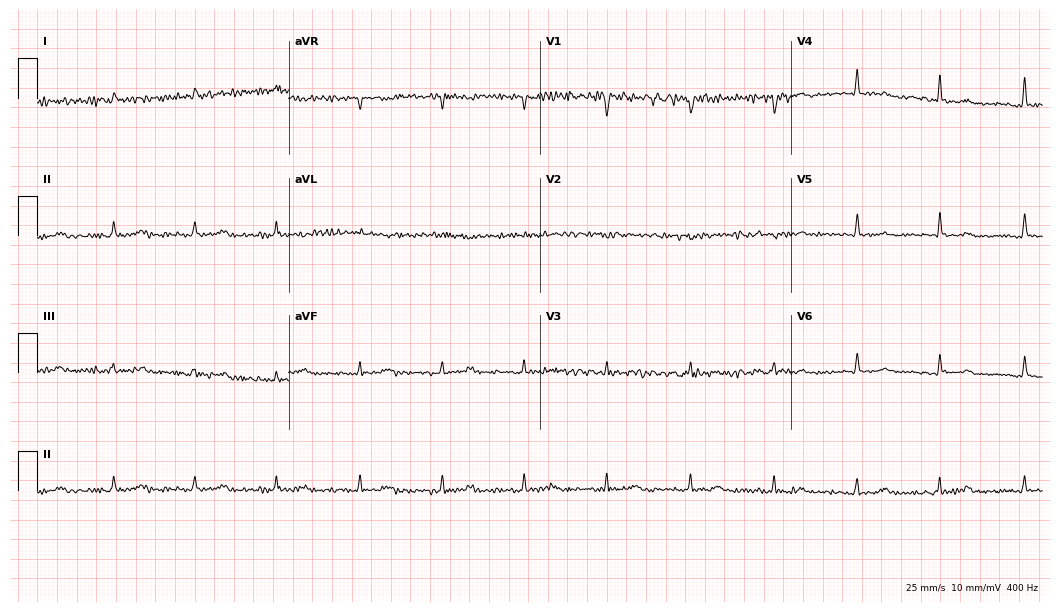
ECG (10.2-second recording at 400 Hz) — a 79-year-old male patient. Screened for six findings — first-degree AV block, right bundle branch block, left bundle branch block, sinus bradycardia, atrial fibrillation, sinus tachycardia — none is recorded.